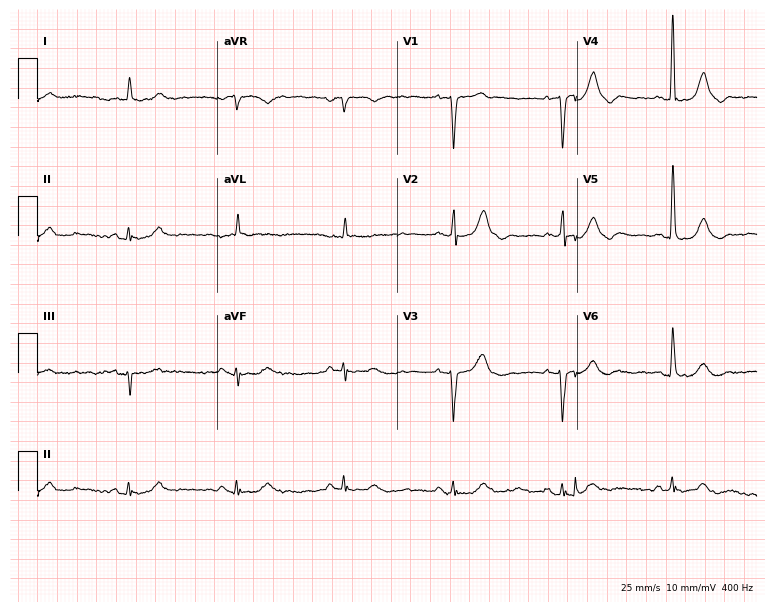
12-lead ECG from a 78-year-old male patient. Screened for six findings — first-degree AV block, right bundle branch block (RBBB), left bundle branch block (LBBB), sinus bradycardia, atrial fibrillation (AF), sinus tachycardia — none is recorded. Findings outside these six are not listed.